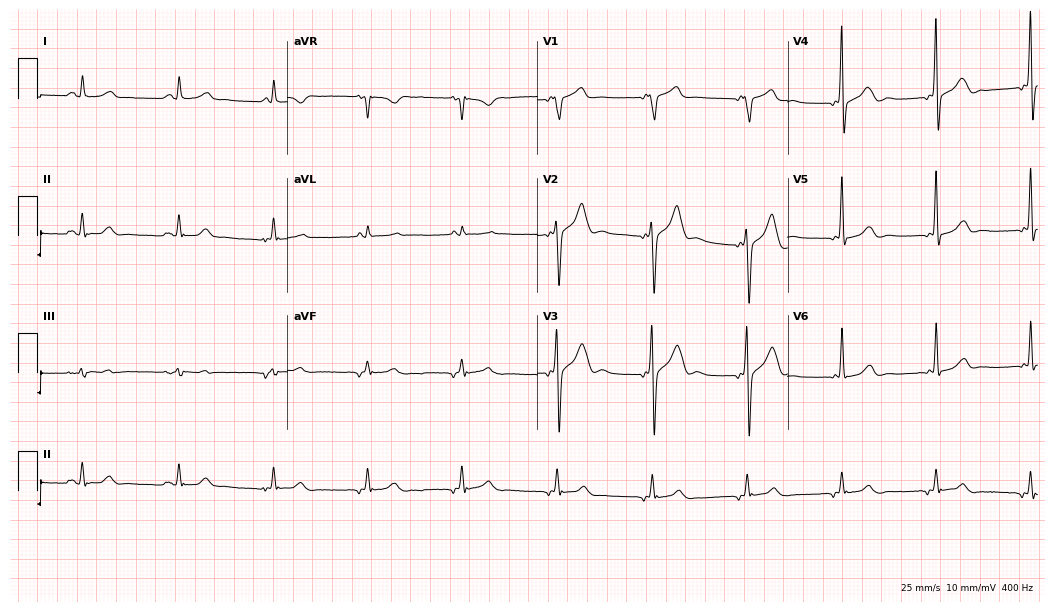
Resting 12-lead electrocardiogram. Patient: a 76-year-old male. None of these six findings is recorded: first-degree AV block, right bundle branch block (RBBB), left bundle branch block (LBBB), sinus bradycardia, atrial fibrillation (AF), sinus tachycardia. Other findings, if any, are not listed.